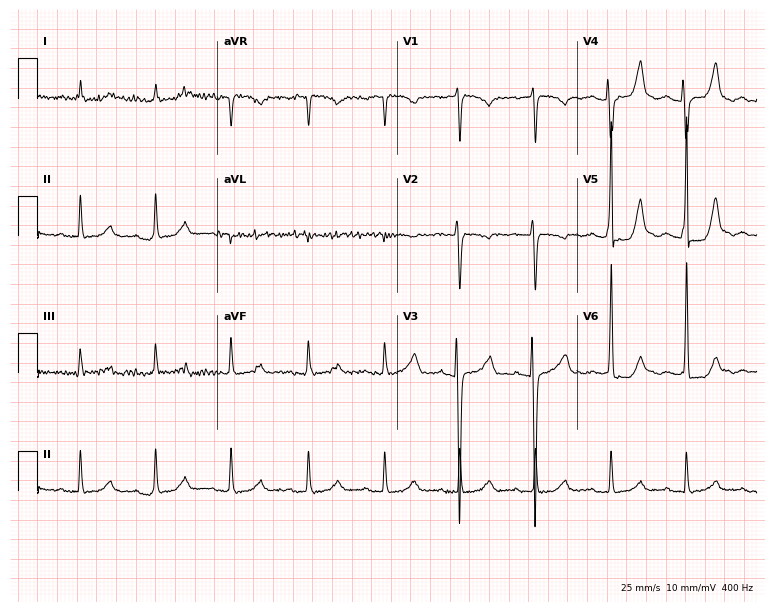
Standard 12-lead ECG recorded from a woman, 55 years old. None of these six findings is recorded: first-degree AV block, right bundle branch block (RBBB), left bundle branch block (LBBB), sinus bradycardia, atrial fibrillation (AF), sinus tachycardia. Other findings, if any, are not listed.